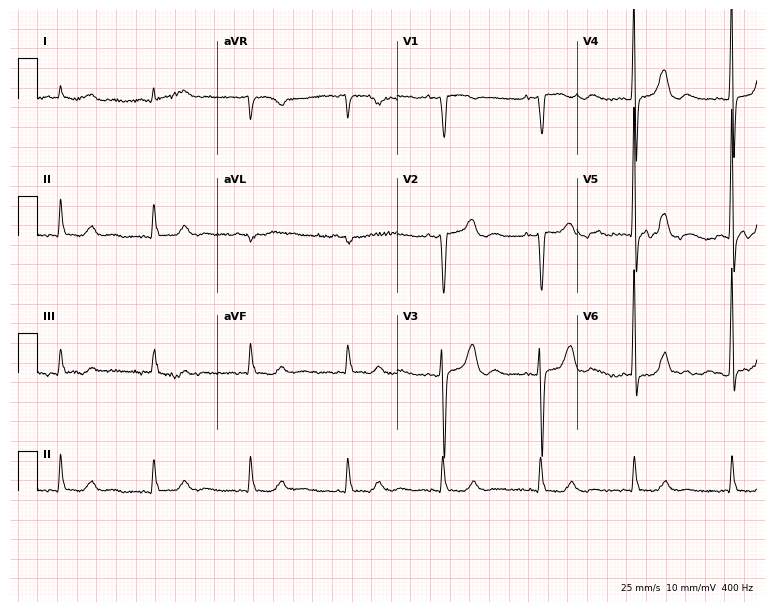
Electrocardiogram, a female, 70 years old. Of the six screened findings (first-degree AV block, right bundle branch block, left bundle branch block, sinus bradycardia, atrial fibrillation, sinus tachycardia), none is recorded. Other findings, if any, are not listed.